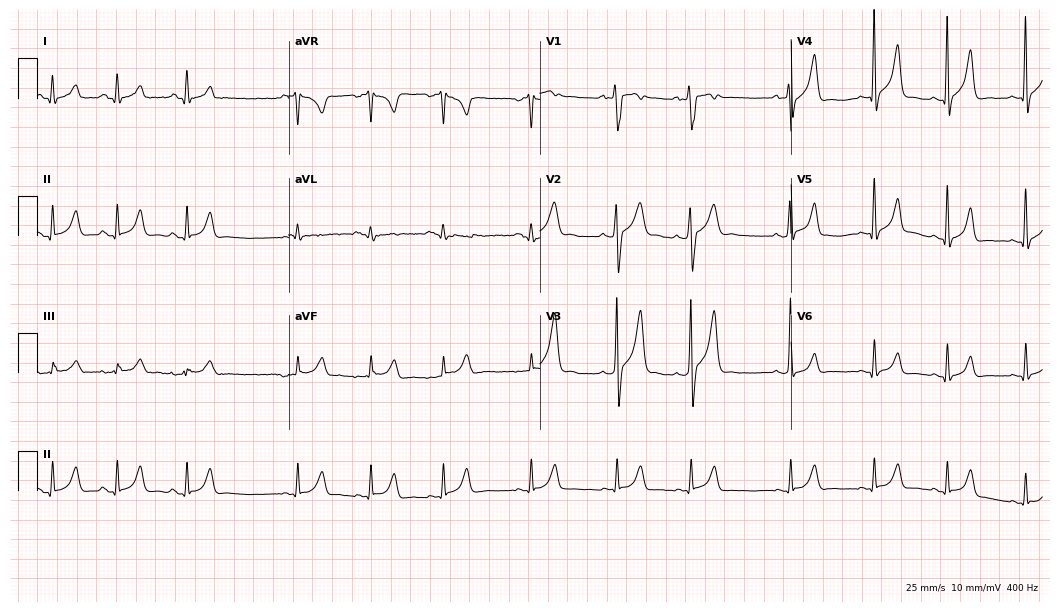
12-lead ECG from a 20-year-old male patient. Labelled as a normal ECG.